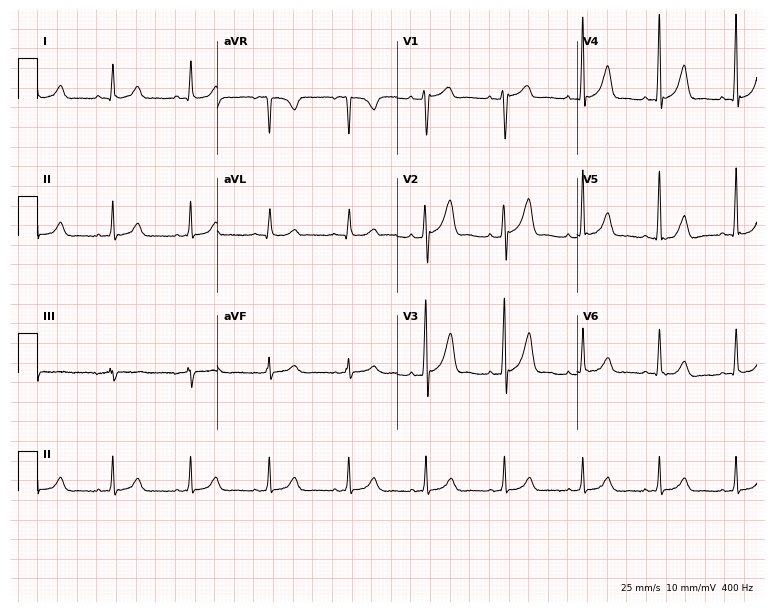
Resting 12-lead electrocardiogram (7.3-second recording at 400 Hz). Patient: a 63-year-old male. None of these six findings is recorded: first-degree AV block, right bundle branch block (RBBB), left bundle branch block (LBBB), sinus bradycardia, atrial fibrillation (AF), sinus tachycardia.